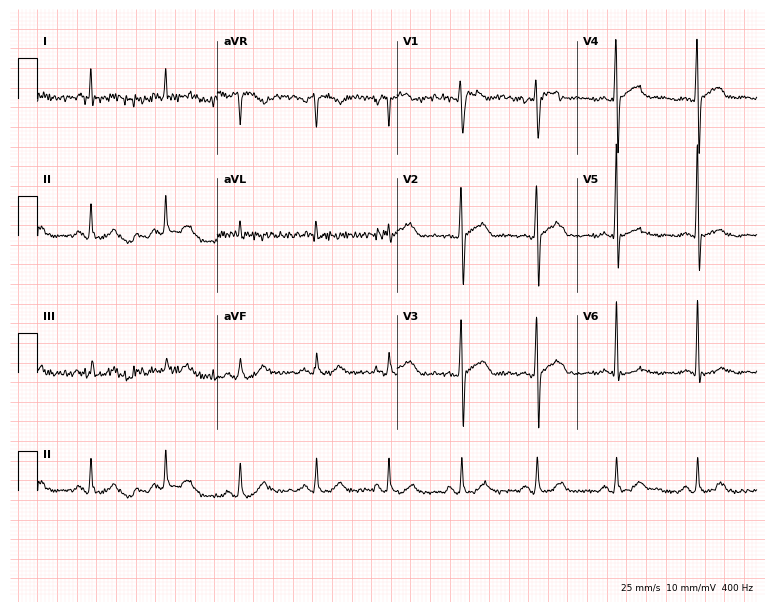
Electrocardiogram (7.3-second recording at 400 Hz), a man, 59 years old. Of the six screened findings (first-degree AV block, right bundle branch block, left bundle branch block, sinus bradycardia, atrial fibrillation, sinus tachycardia), none is recorded. Only these six findings were labelled.